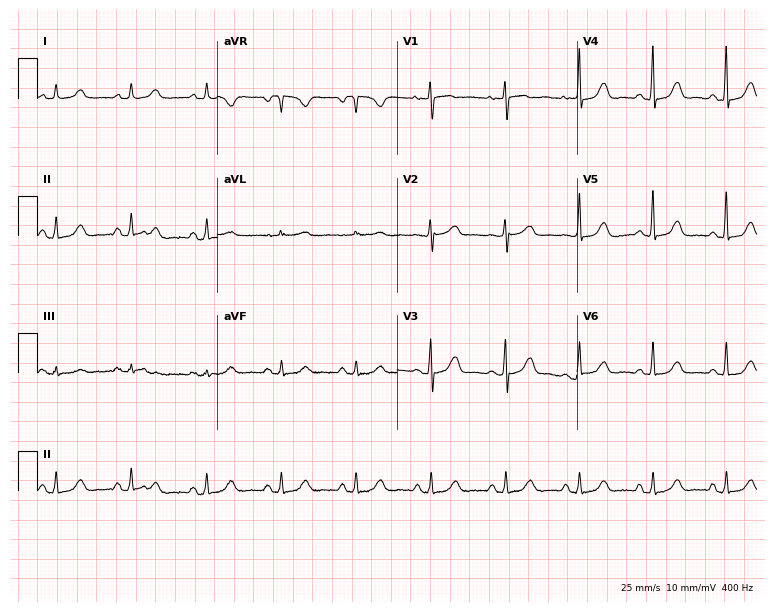
12-lead ECG from a 62-year-old female. Recorded interpretation: within normal limits.